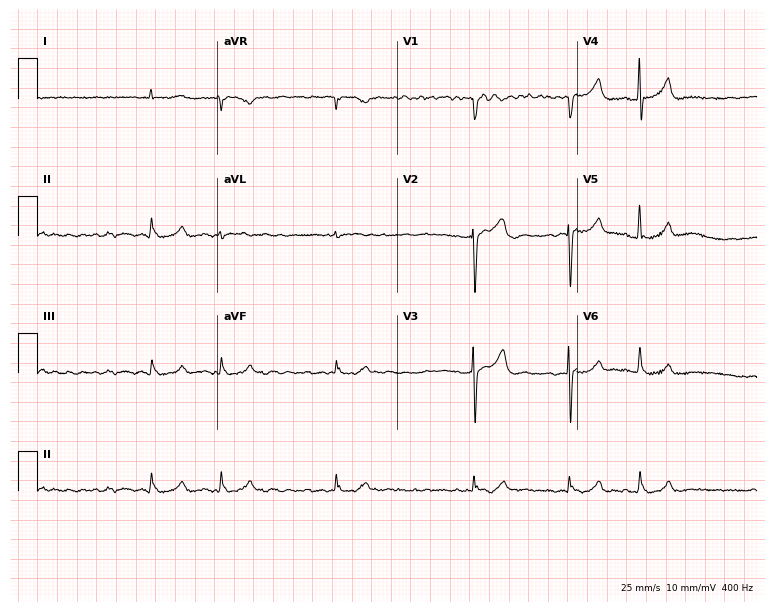
12-lead ECG from a man, 81 years old (7.3-second recording at 400 Hz). Shows atrial fibrillation (AF).